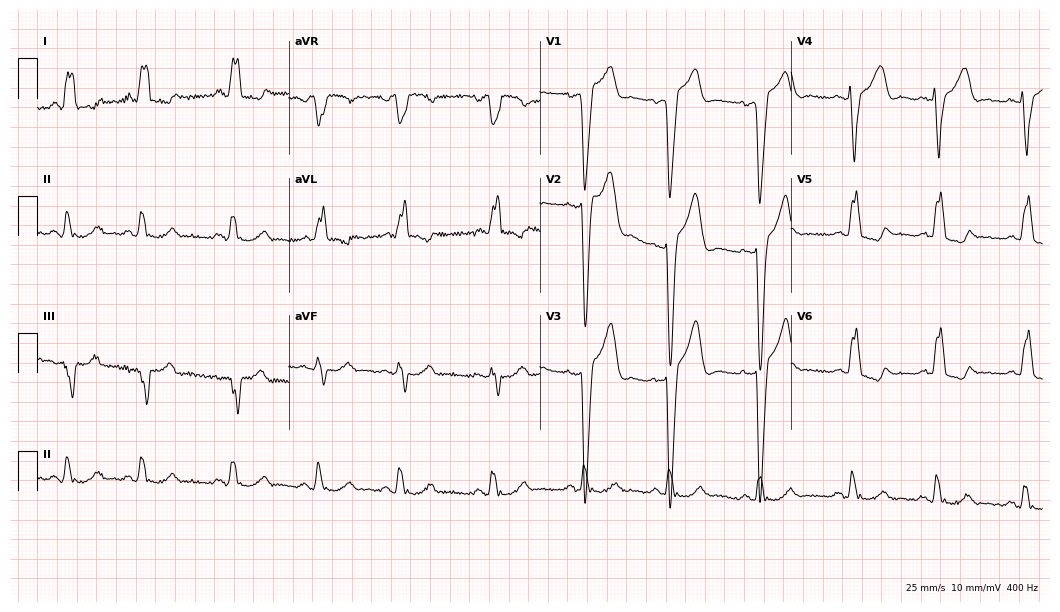
Resting 12-lead electrocardiogram (10.2-second recording at 400 Hz). Patient: a woman, 56 years old. The tracing shows left bundle branch block.